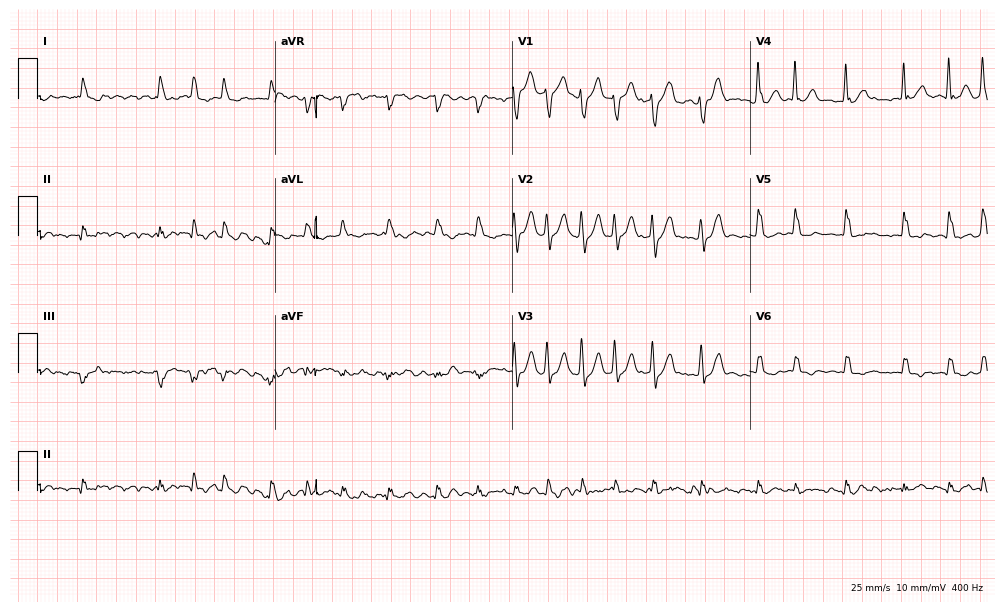
Electrocardiogram, a 65-year-old male. Interpretation includes atrial fibrillation.